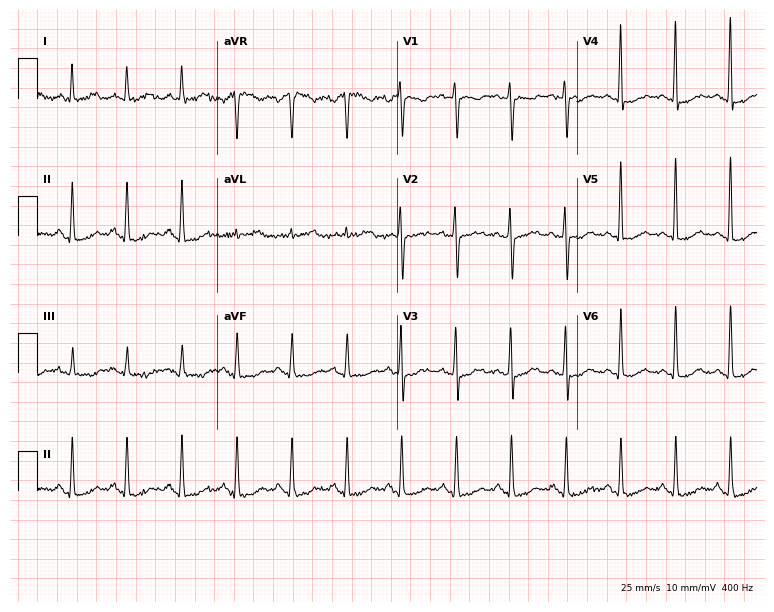
Standard 12-lead ECG recorded from a 61-year-old female patient. None of these six findings is recorded: first-degree AV block, right bundle branch block, left bundle branch block, sinus bradycardia, atrial fibrillation, sinus tachycardia.